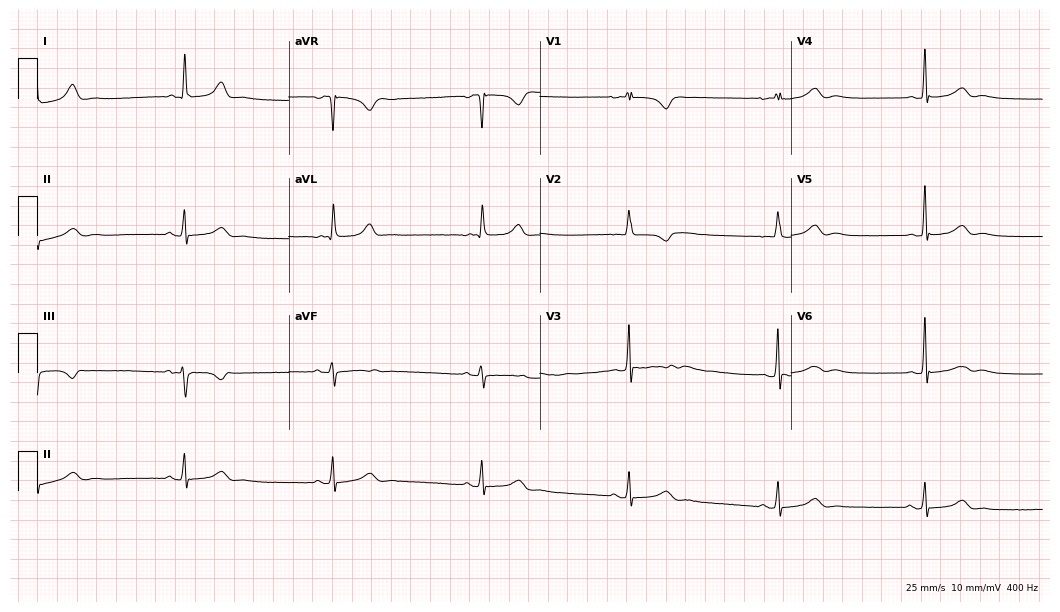
12-lead ECG from a woman, 87 years old (10.2-second recording at 400 Hz). Shows sinus bradycardia (a sinus rate of 50 beats per minute or less).